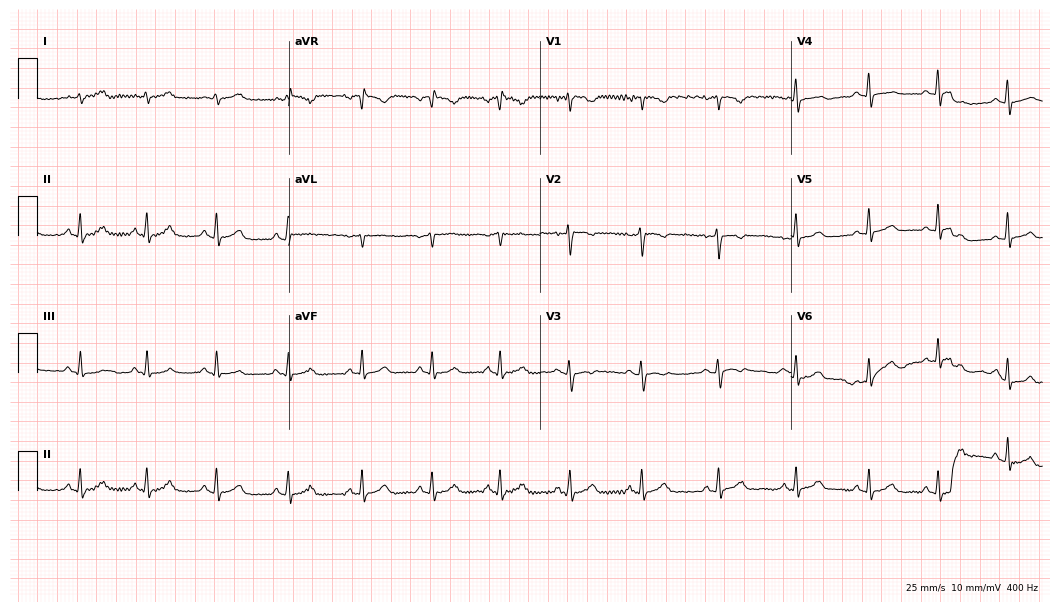
12-lead ECG from a female, 30 years old. No first-degree AV block, right bundle branch block, left bundle branch block, sinus bradycardia, atrial fibrillation or sinus tachycardia recorded for this tracing. Other findings, if any, are not listed.